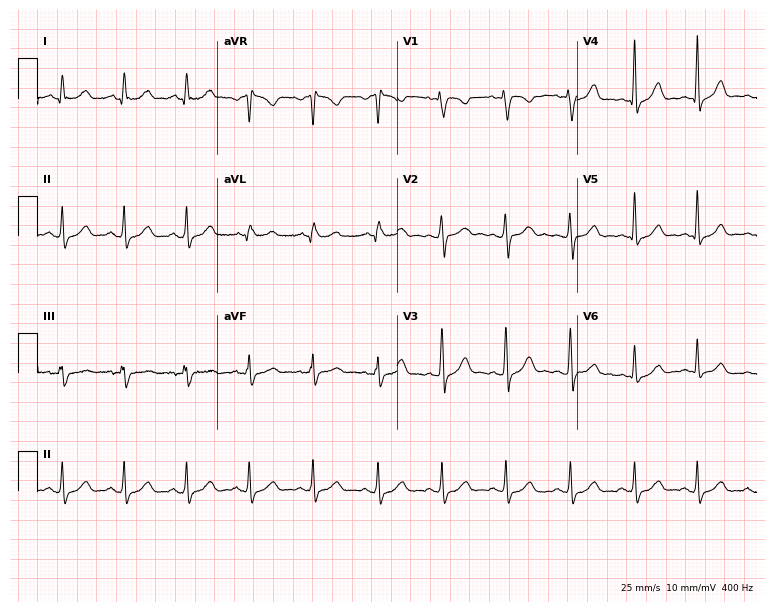
12-lead ECG from a 34-year-old woman (7.3-second recording at 400 Hz). Recorded interpretation: within normal limits.